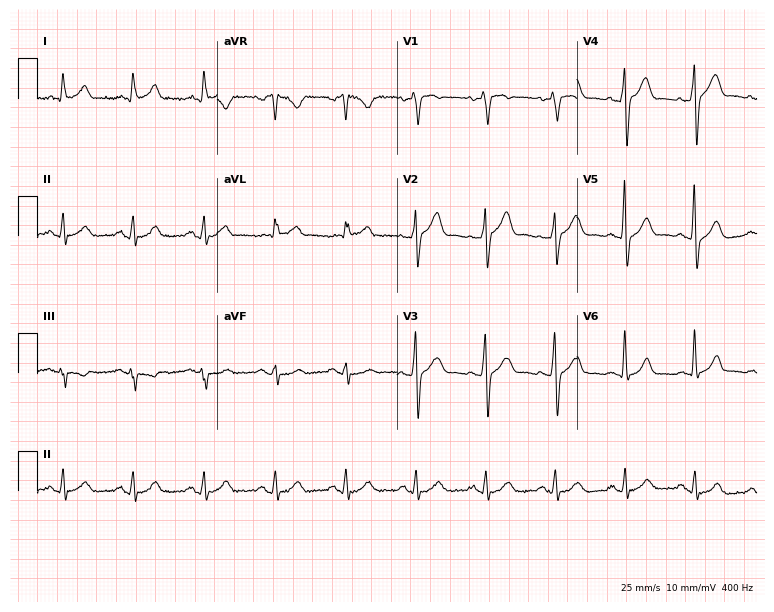
Resting 12-lead electrocardiogram (7.3-second recording at 400 Hz). Patient: a 39-year-old male. Read as a normal ECG.